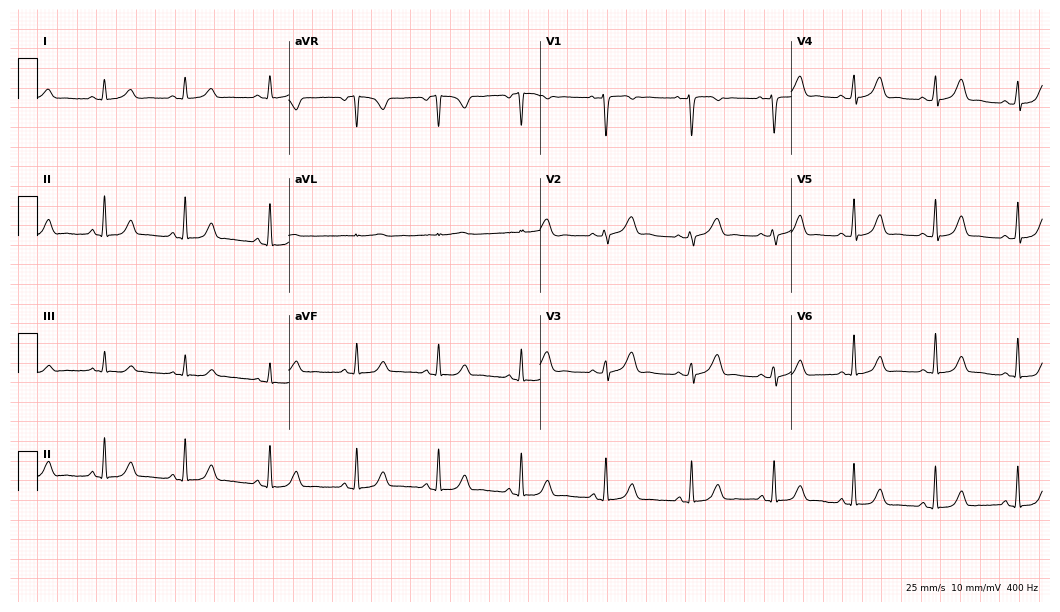
ECG — a 40-year-old female patient. Labelled as a normal ECG.